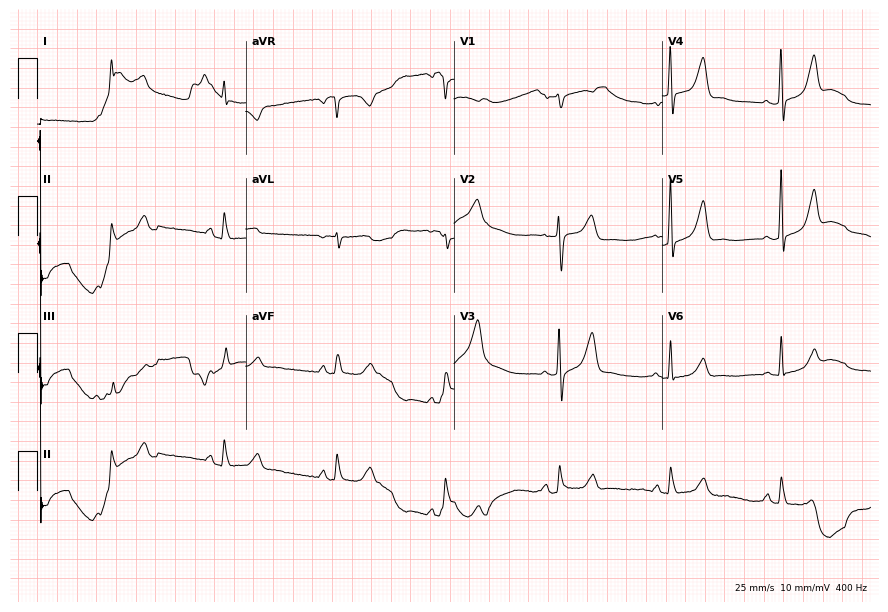
12-lead ECG from a 68-year-old female patient. No first-degree AV block, right bundle branch block, left bundle branch block, sinus bradycardia, atrial fibrillation or sinus tachycardia recorded for this tracing.